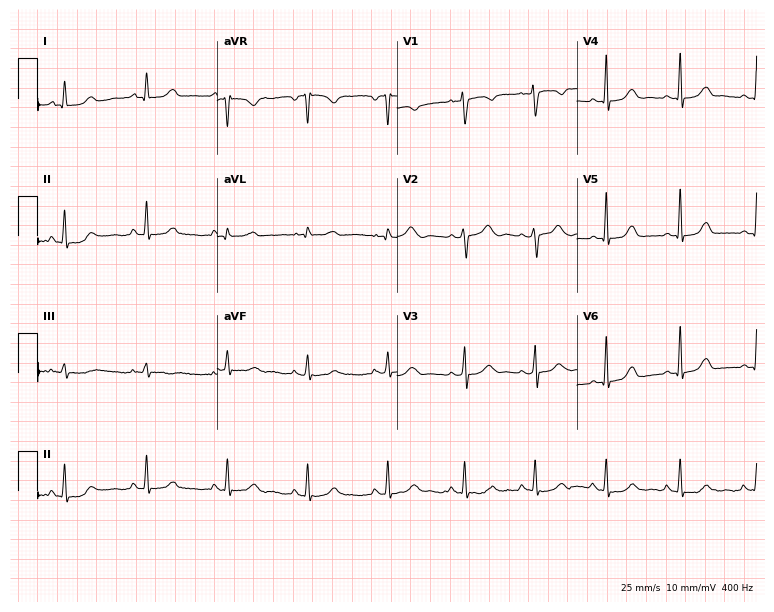
12-lead ECG from a 31-year-old female patient. Screened for six findings — first-degree AV block, right bundle branch block, left bundle branch block, sinus bradycardia, atrial fibrillation, sinus tachycardia — none is recorded.